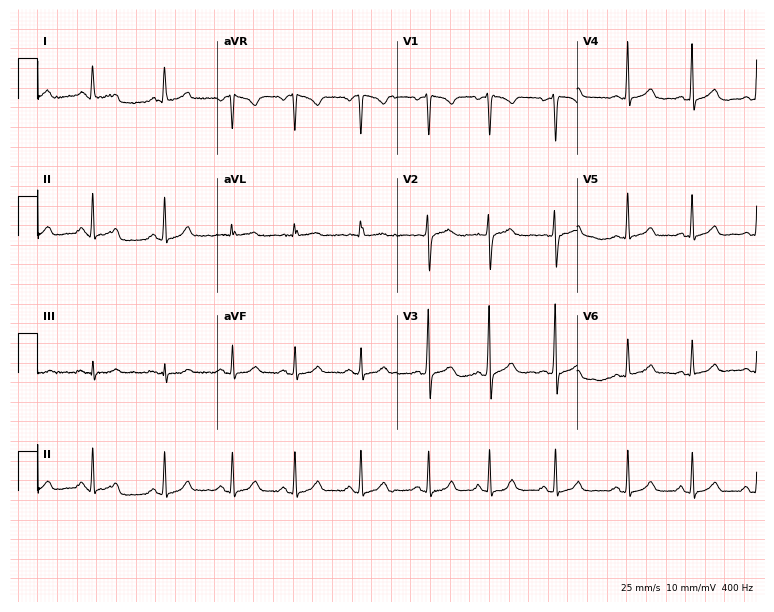
Resting 12-lead electrocardiogram (7.3-second recording at 400 Hz). Patient: a 24-year-old female. Read as a normal ECG.